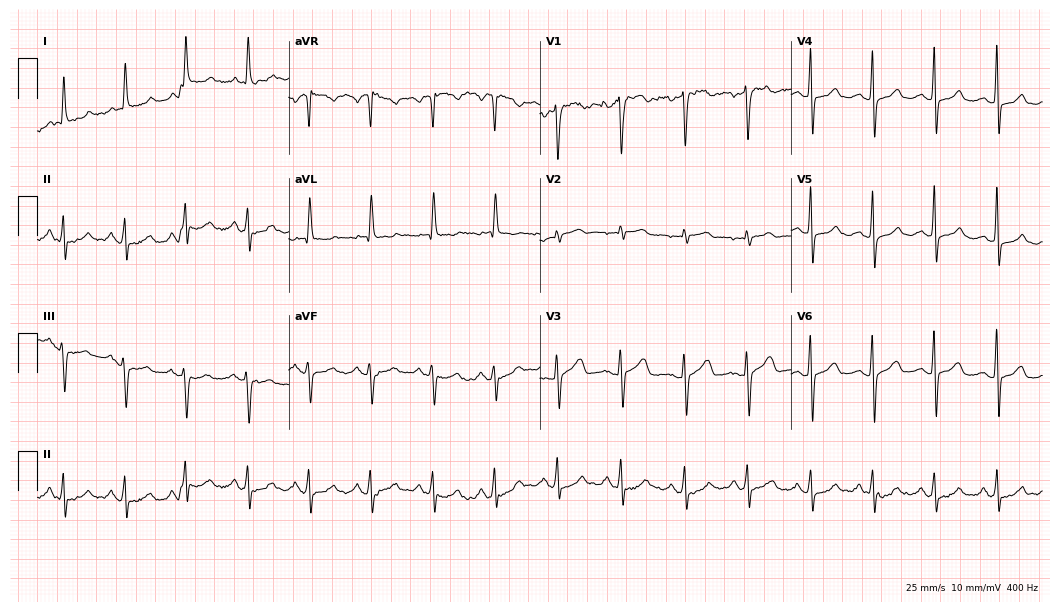
Standard 12-lead ECG recorded from a female patient, 66 years old (10.2-second recording at 400 Hz). None of these six findings is recorded: first-degree AV block, right bundle branch block (RBBB), left bundle branch block (LBBB), sinus bradycardia, atrial fibrillation (AF), sinus tachycardia. Only these six findings were labelled.